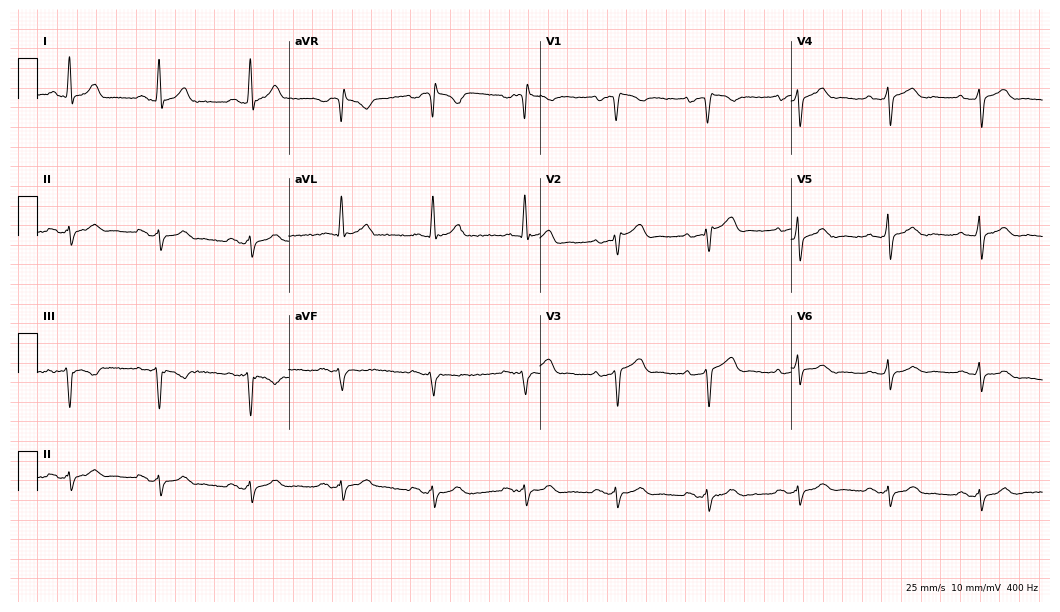
Electrocardiogram (10.2-second recording at 400 Hz), a man, 59 years old. Of the six screened findings (first-degree AV block, right bundle branch block, left bundle branch block, sinus bradycardia, atrial fibrillation, sinus tachycardia), none is recorded.